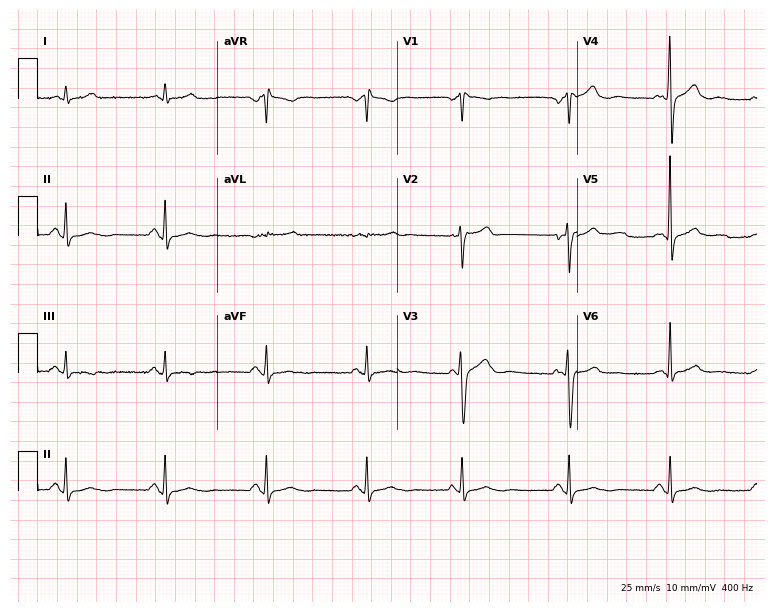
Electrocardiogram, a 68-year-old man. Of the six screened findings (first-degree AV block, right bundle branch block, left bundle branch block, sinus bradycardia, atrial fibrillation, sinus tachycardia), none is recorded. Only these six findings were labelled.